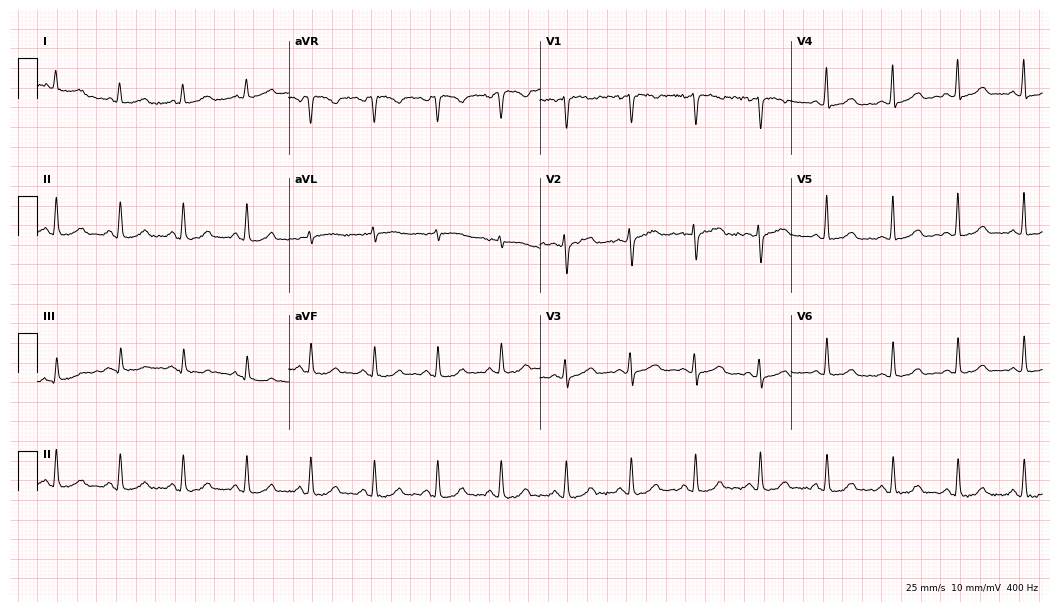
ECG (10.2-second recording at 400 Hz) — a 48-year-old female. Labelled as a normal ECG.